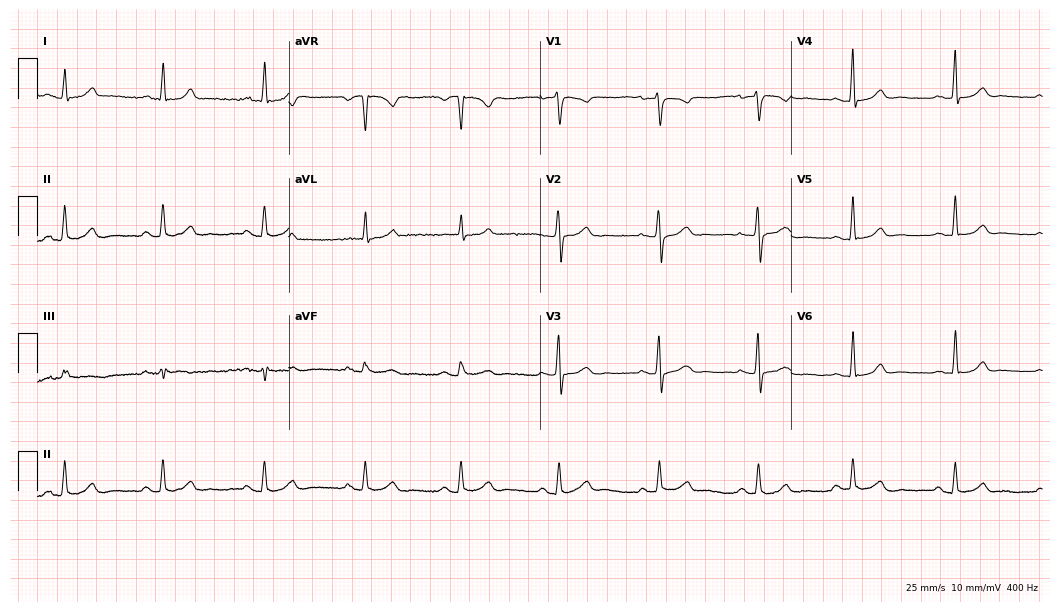
ECG — a 42-year-old female. Screened for six findings — first-degree AV block, right bundle branch block, left bundle branch block, sinus bradycardia, atrial fibrillation, sinus tachycardia — none is recorded. Findings outside these six are not listed.